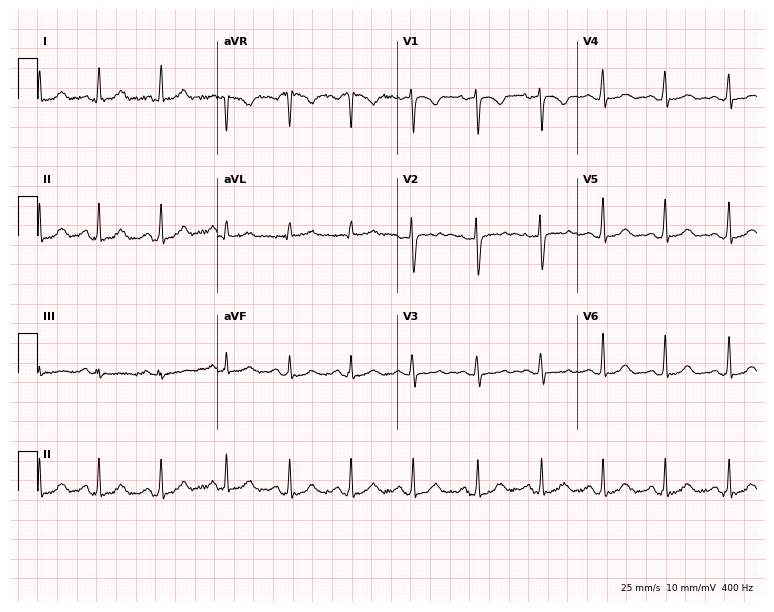
12-lead ECG from a woman, 36 years old. Recorded interpretation: within normal limits.